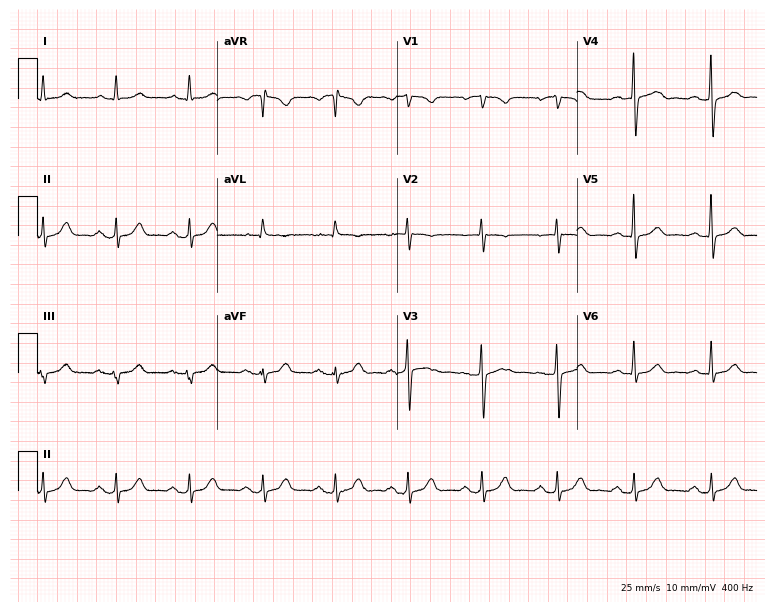
Electrocardiogram (7.3-second recording at 400 Hz), a 60-year-old female. Overall reading on record: normal ECG.